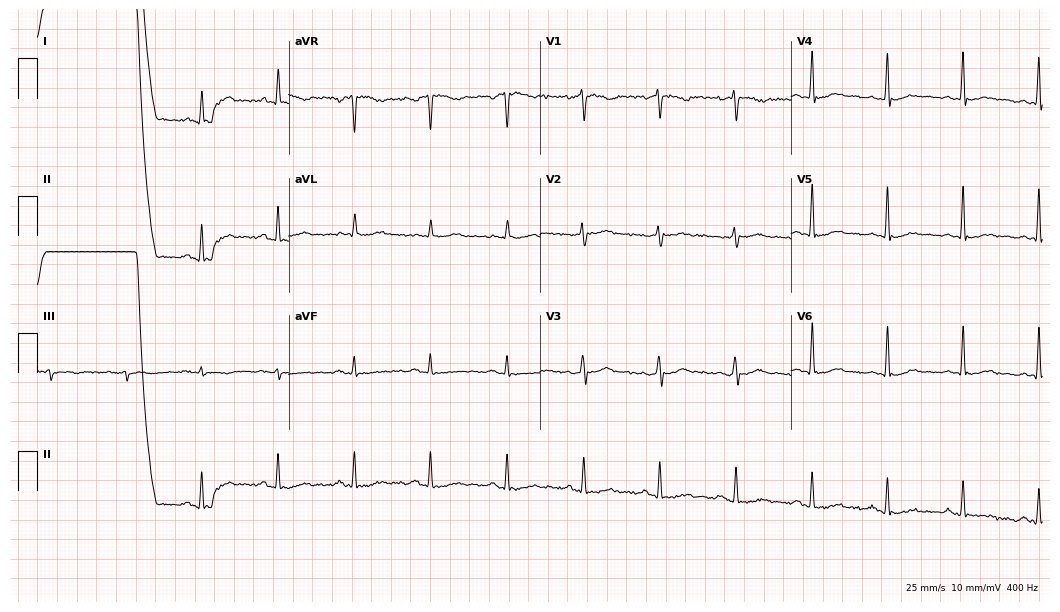
12-lead ECG (10.2-second recording at 400 Hz) from a male, 70 years old. Screened for six findings — first-degree AV block, right bundle branch block, left bundle branch block, sinus bradycardia, atrial fibrillation, sinus tachycardia — none is recorded.